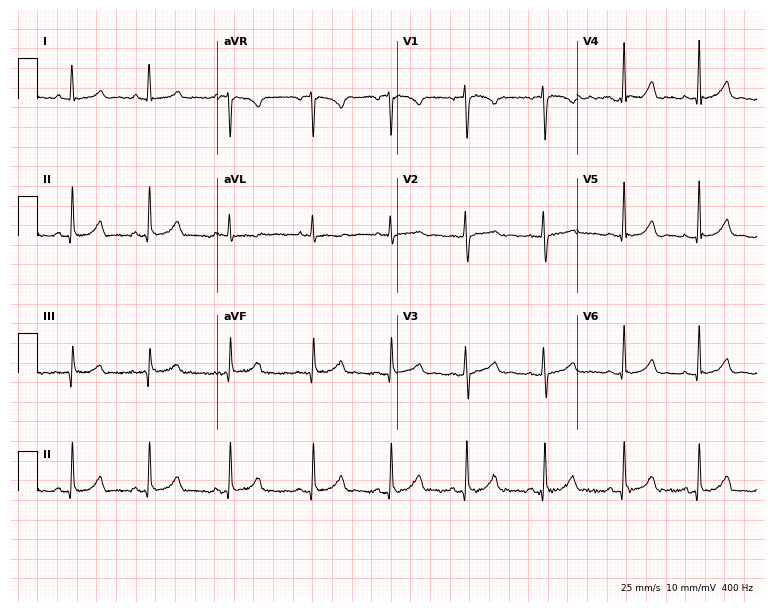
Standard 12-lead ECG recorded from an 18-year-old woman. Read as a normal ECG.